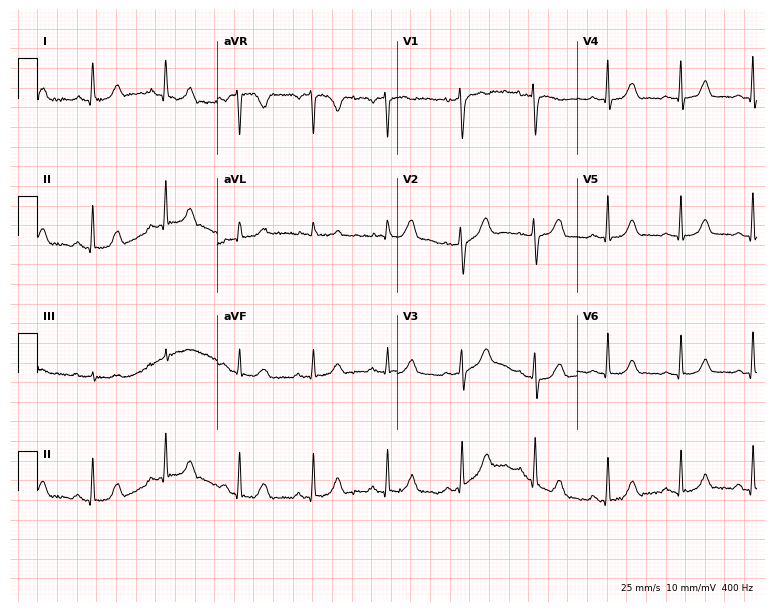
Electrocardiogram (7.3-second recording at 400 Hz), a female, 54 years old. Overall reading on record: normal ECG.